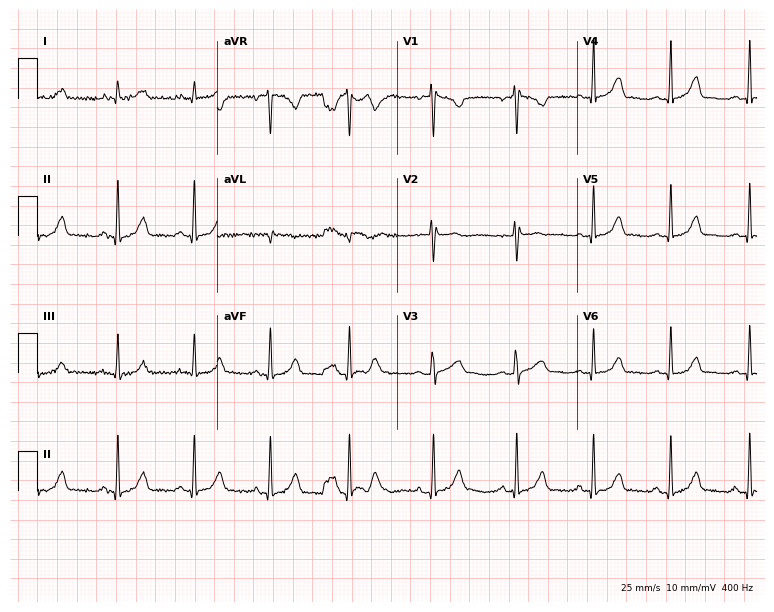
ECG (7.3-second recording at 400 Hz) — a 32-year-old female. Labelled as a normal ECG.